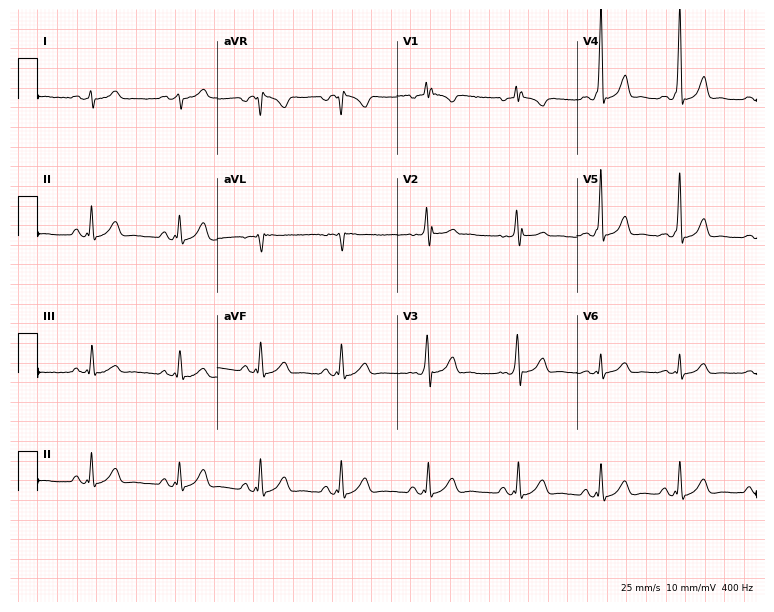
Resting 12-lead electrocardiogram (7.3-second recording at 400 Hz). Patient: a 21-year-old female. None of these six findings is recorded: first-degree AV block, right bundle branch block (RBBB), left bundle branch block (LBBB), sinus bradycardia, atrial fibrillation (AF), sinus tachycardia. Only these six findings were labelled.